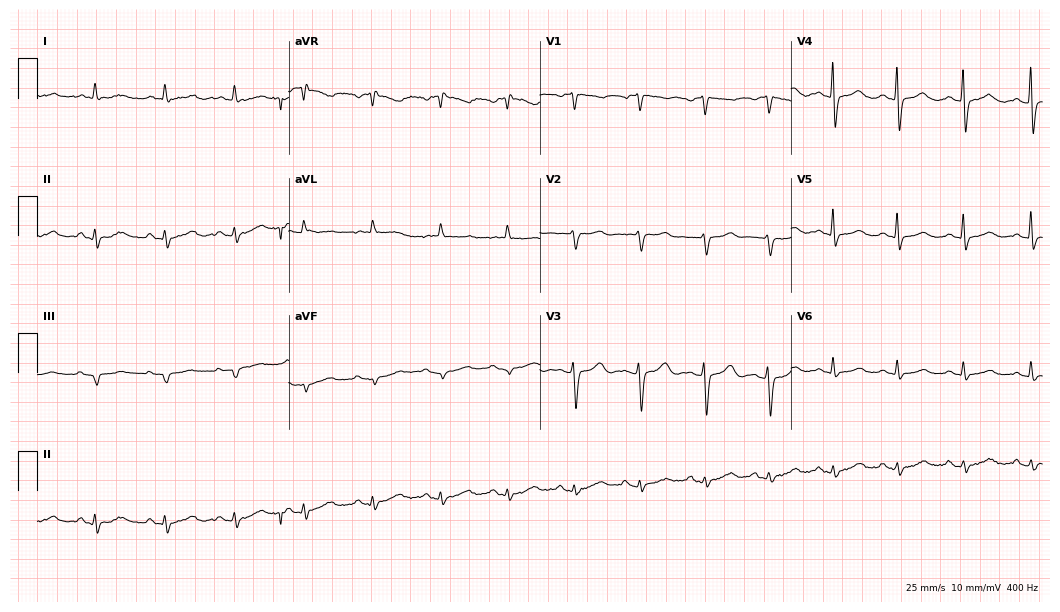
ECG — a female patient, 78 years old. Labelled as a normal ECG.